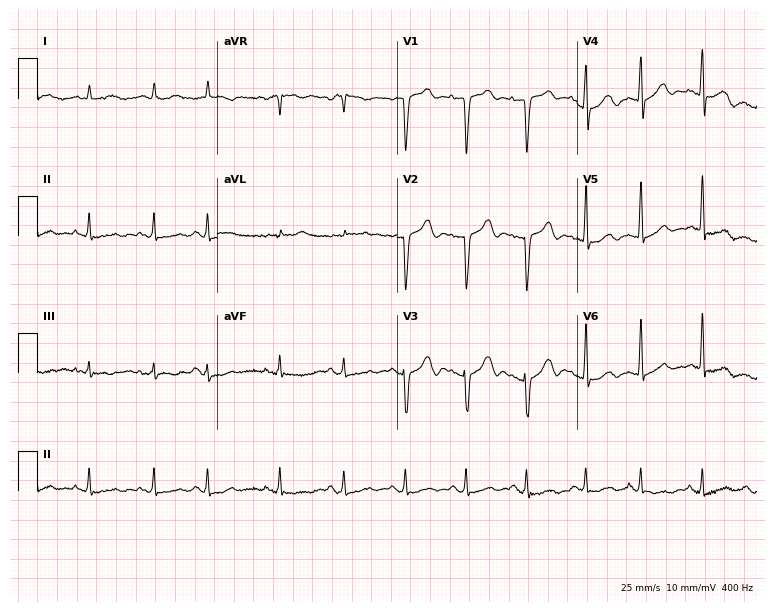
Electrocardiogram, a 70-year-old man. Of the six screened findings (first-degree AV block, right bundle branch block (RBBB), left bundle branch block (LBBB), sinus bradycardia, atrial fibrillation (AF), sinus tachycardia), none is recorded.